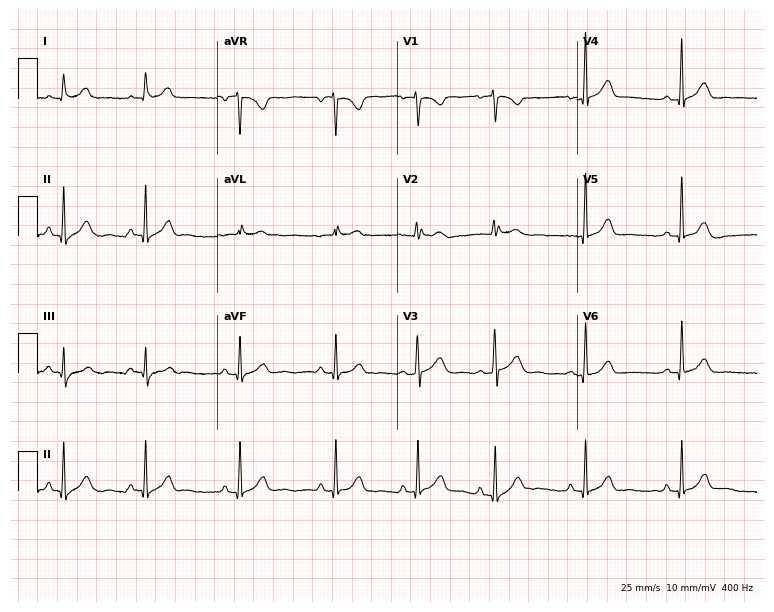
12-lead ECG from a woman, 42 years old. Labelled as a normal ECG.